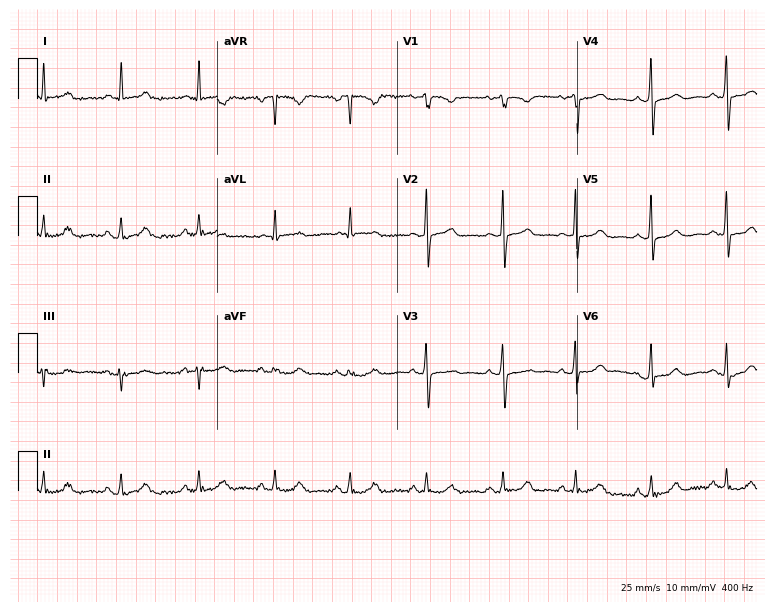
12-lead ECG from a 51-year-old male patient. Labelled as a normal ECG.